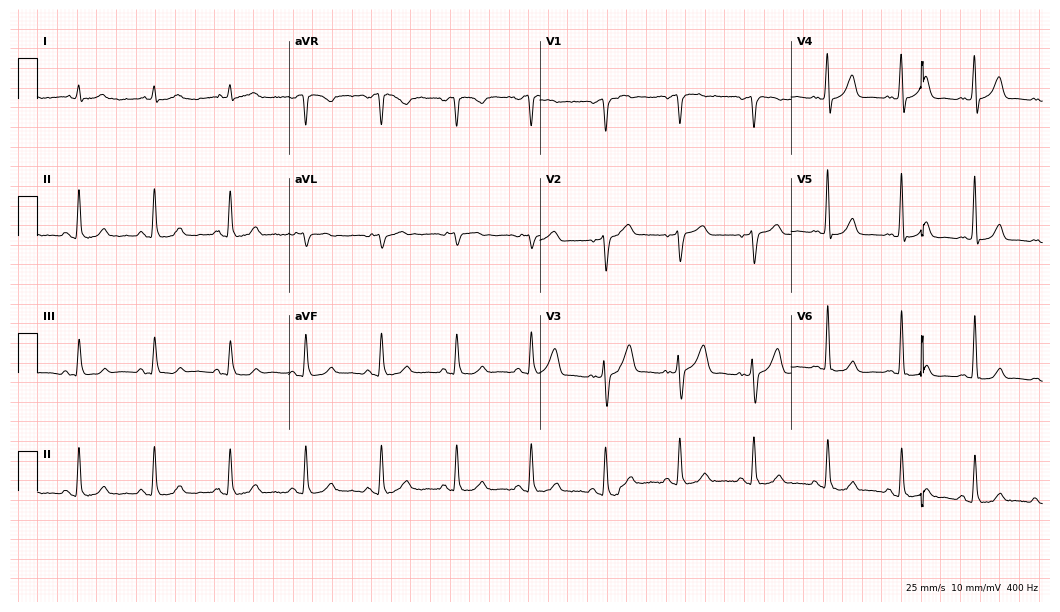
12-lead ECG (10.2-second recording at 400 Hz) from a 62-year-old male. Labelled as a normal ECG.